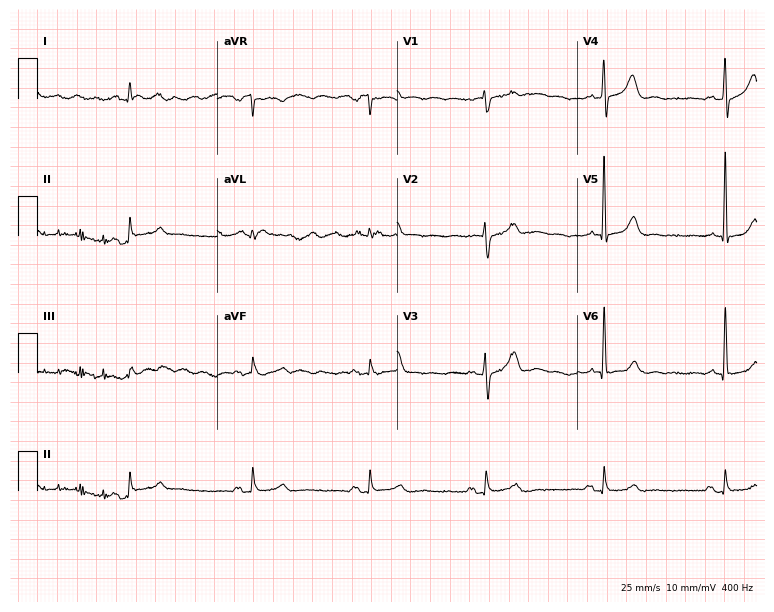
Standard 12-lead ECG recorded from a 74-year-old male. The tracing shows sinus bradycardia (a sinus rate of 50 beats per minute or less).